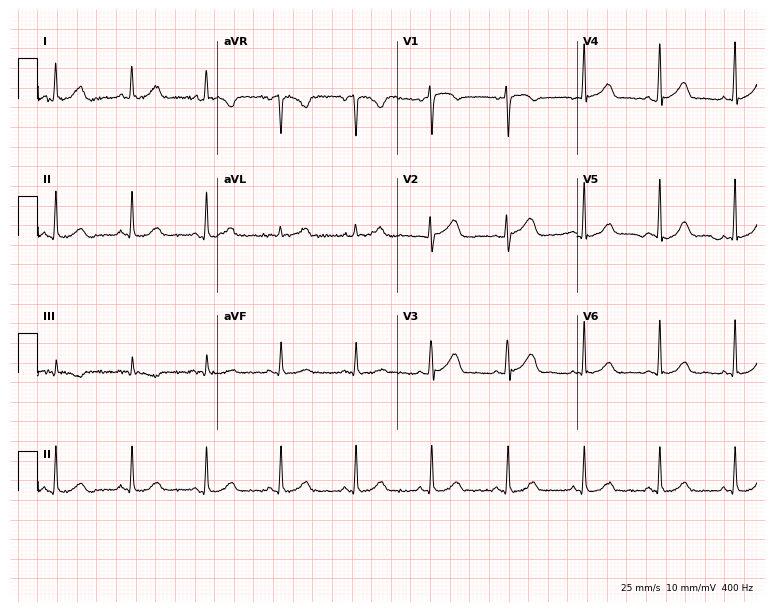
Resting 12-lead electrocardiogram (7.3-second recording at 400 Hz). Patient: a 53-year-old woman. Read as a normal ECG.